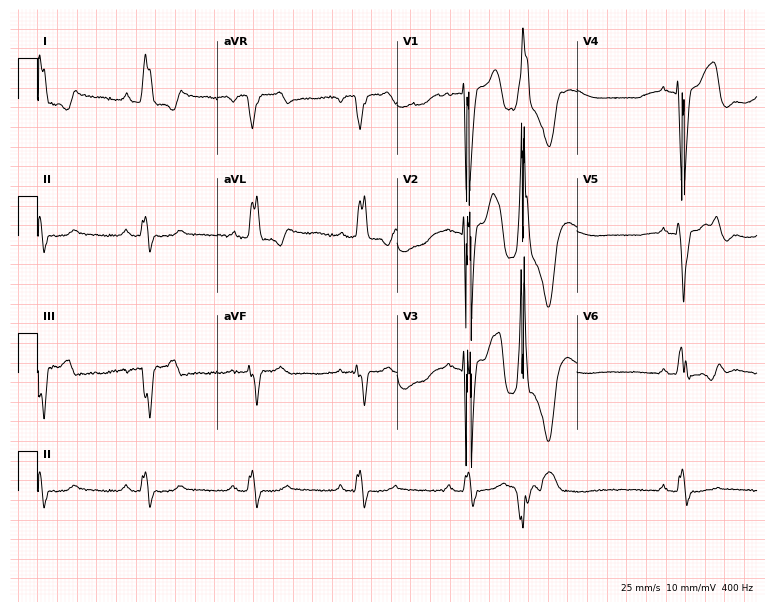
12-lead ECG from a man, 75 years old. Findings include left bundle branch block.